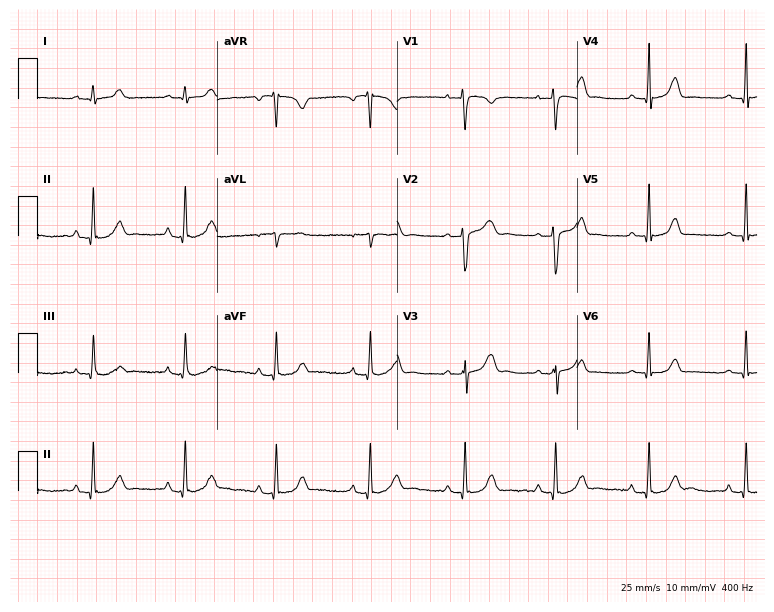
Electrocardiogram, a 42-year-old woman. Overall reading on record: normal ECG.